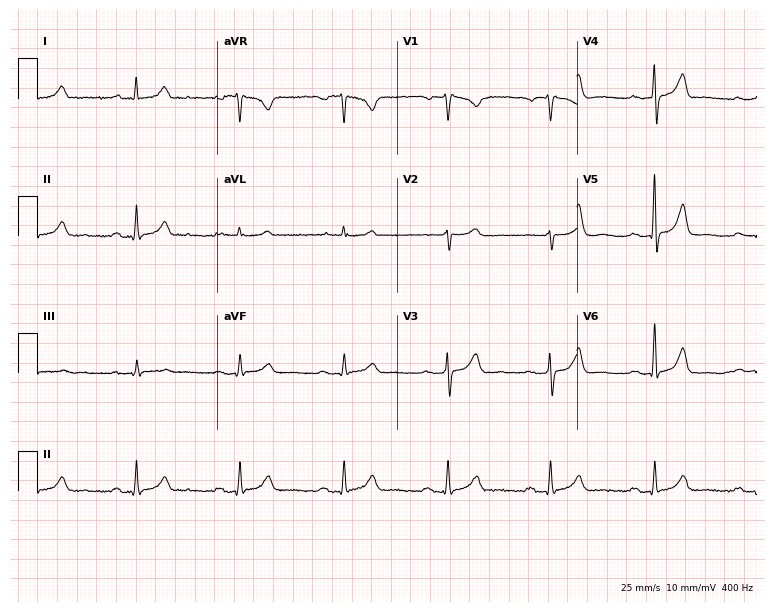
12-lead ECG (7.3-second recording at 400 Hz) from a 63-year-old male. Labelled as a normal ECG.